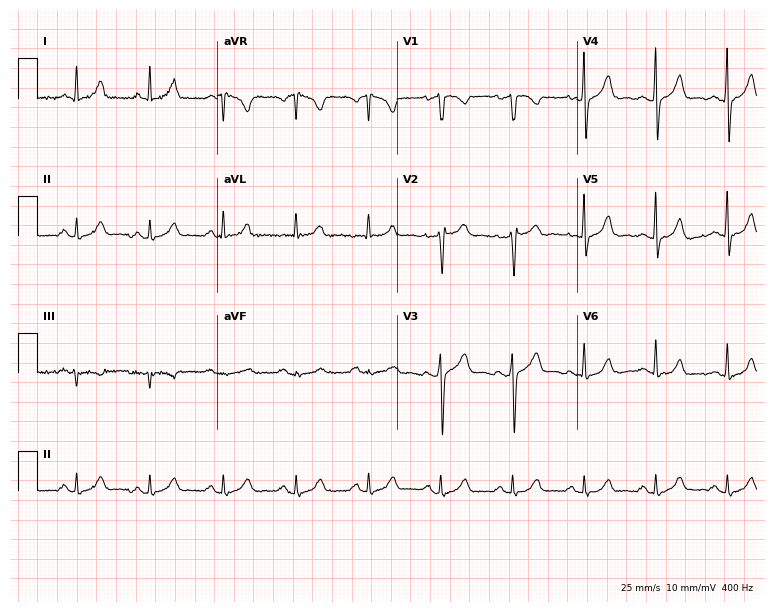
Resting 12-lead electrocardiogram. Patient: a man, 40 years old. None of these six findings is recorded: first-degree AV block, right bundle branch block, left bundle branch block, sinus bradycardia, atrial fibrillation, sinus tachycardia.